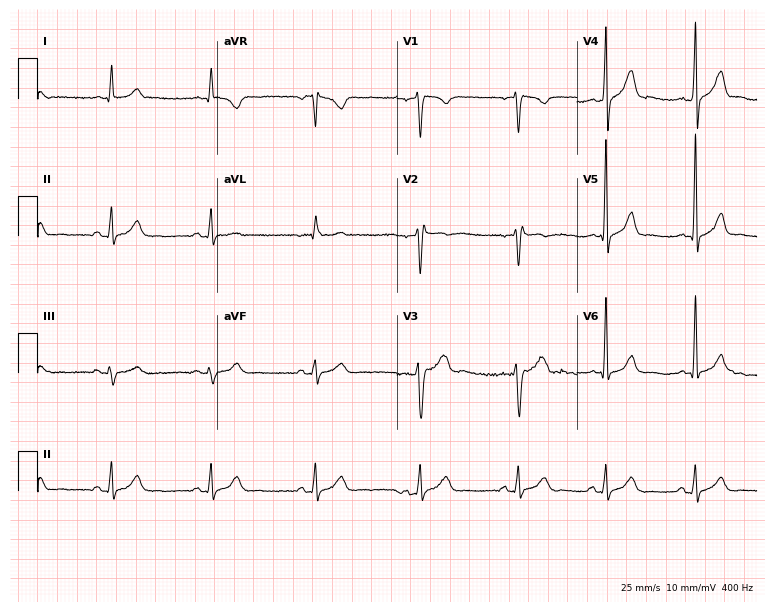
Electrocardiogram, a 46-year-old male patient. Of the six screened findings (first-degree AV block, right bundle branch block, left bundle branch block, sinus bradycardia, atrial fibrillation, sinus tachycardia), none is recorded. Only these six findings were labelled.